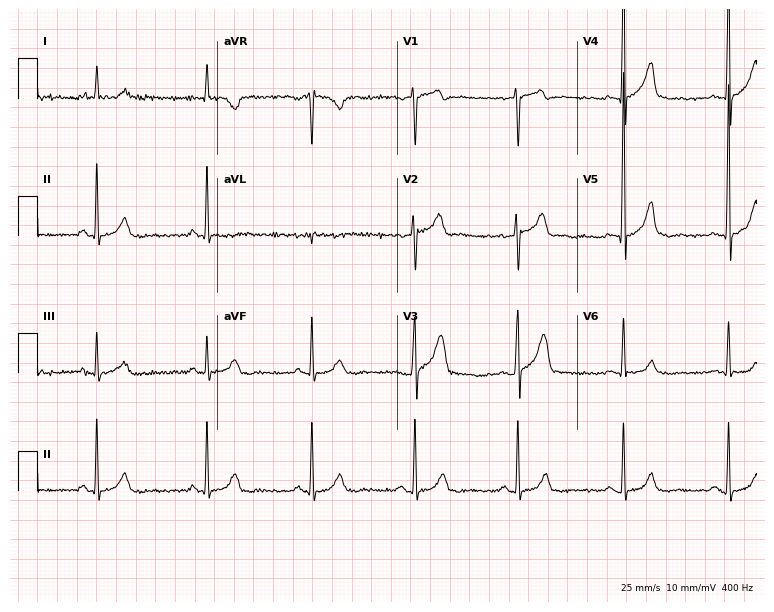
Standard 12-lead ECG recorded from a 48-year-old male (7.3-second recording at 400 Hz). None of these six findings is recorded: first-degree AV block, right bundle branch block (RBBB), left bundle branch block (LBBB), sinus bradycardia, atrial fibrillation (AF), sinus tachycardia.